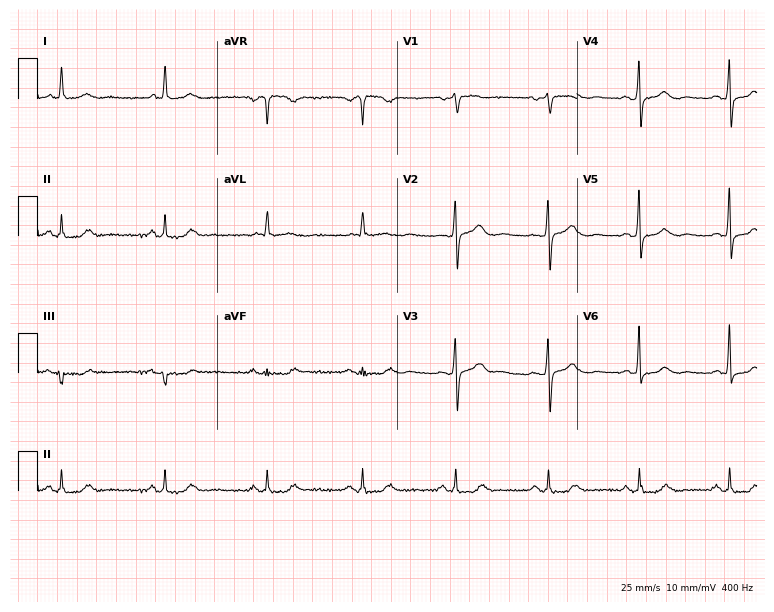
Resting 12-lead electrocardiogram. Patient: a female, 74 years old. Read as a normal ECG.